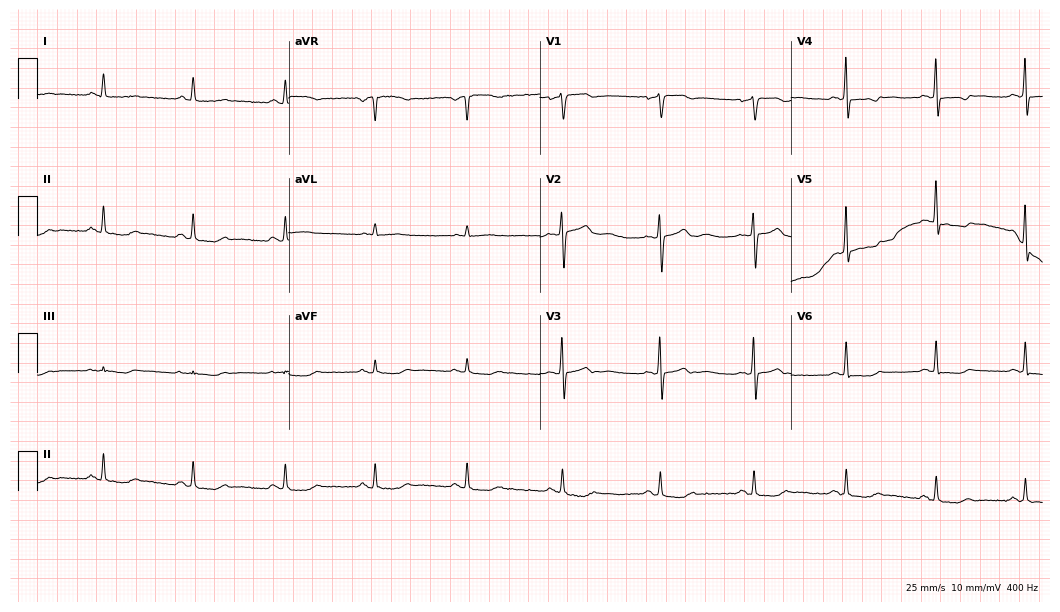
12-lead ECG from a female, 41 years old. No first-degree AV block, right bundle branch block (RBBB), left bundle branch block (LBBB), sinus bradycardia, atrial fibrillation (AF) or sinus tachycardia recorded for this tracing. Other findings, if any, are not listed.